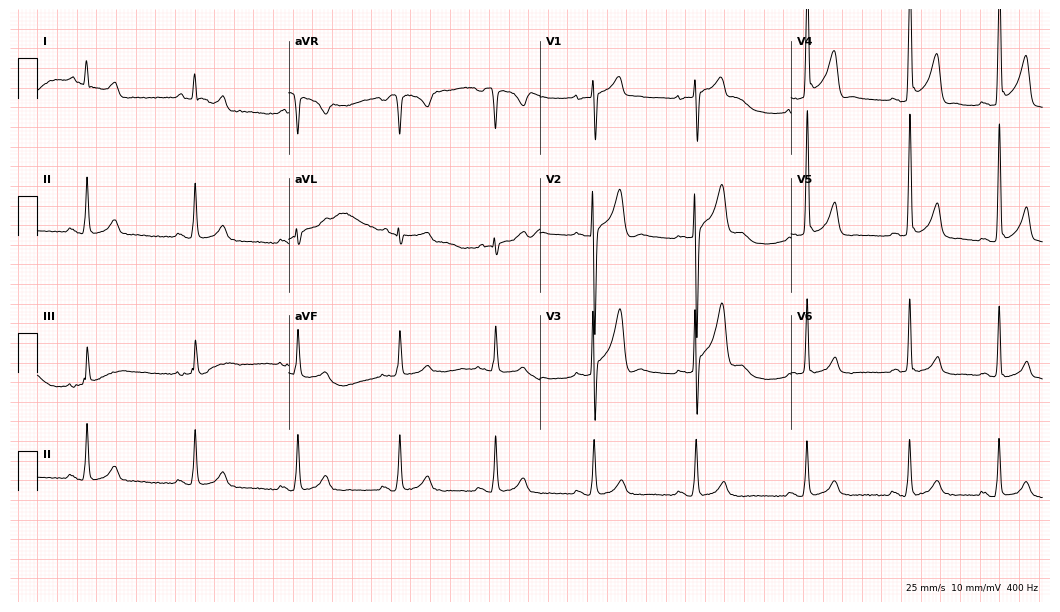
12-lead ECG (10.2-second recording at 400 Hz) from a 23-year-old man. Labelled as a normal ECG.